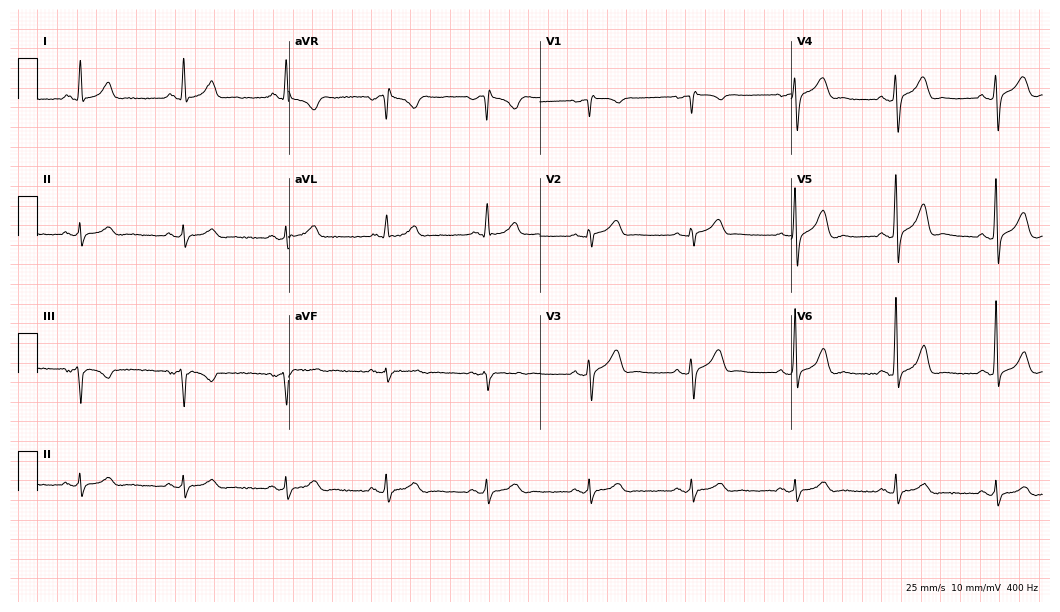
Electrocardiogram (10.2-second recording at 400 Hz), a 63-year-old male. Overall reading on record: normal ECG.